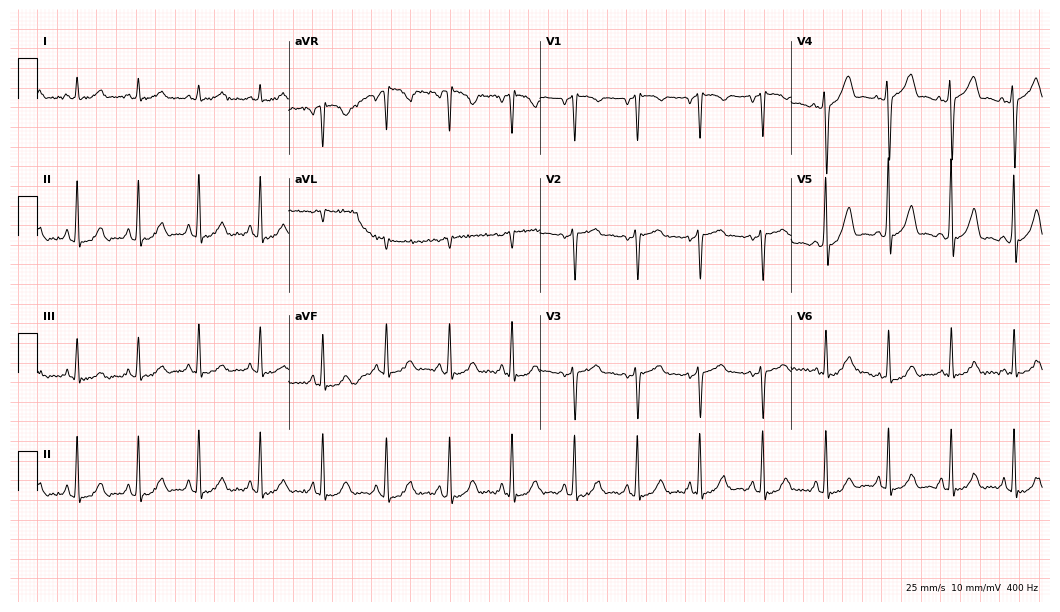
Electrocardiogram (10.2-second recording at 400 Hz), a male patient, 57 years old. Overall reading on record: normal ECG.